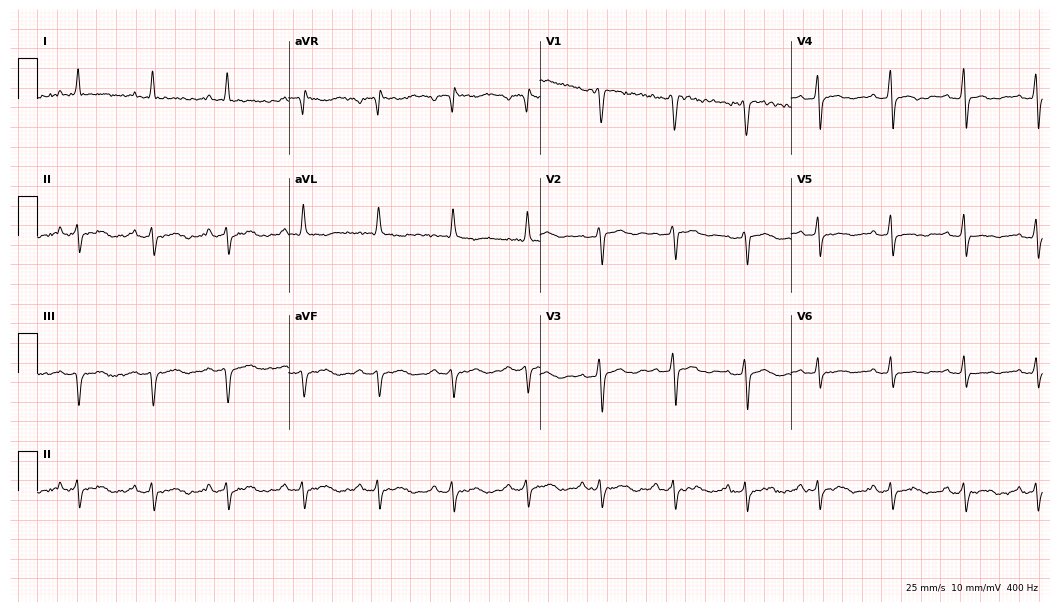
ECG (10.2-second recording at 400 Hz) — a 53-year-old female. Screened for six findings — first-degree AV block, right bundle branch block (RBBB), left bundle branch block (LBBB), sinus bradycardia, atrial fibrillation (AF), sinus tachycardia — none is recorded. Findings outside these six are not listed.